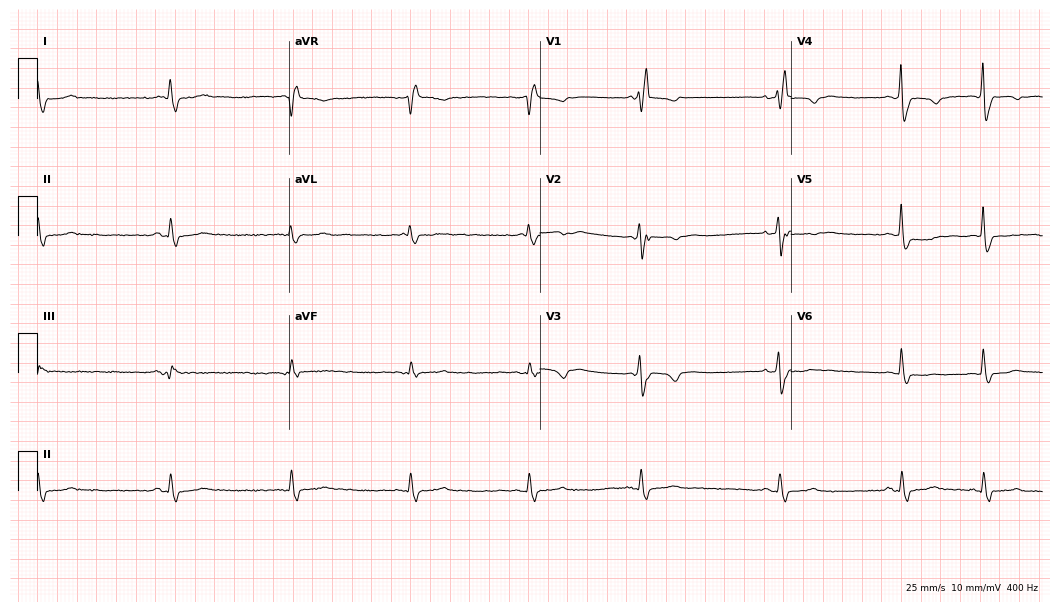
12-lead ECG from a woman, 74 years old. Shows right bundle branch block, sinus bradycardia (a sinus rate of 50 beats per minute or less).